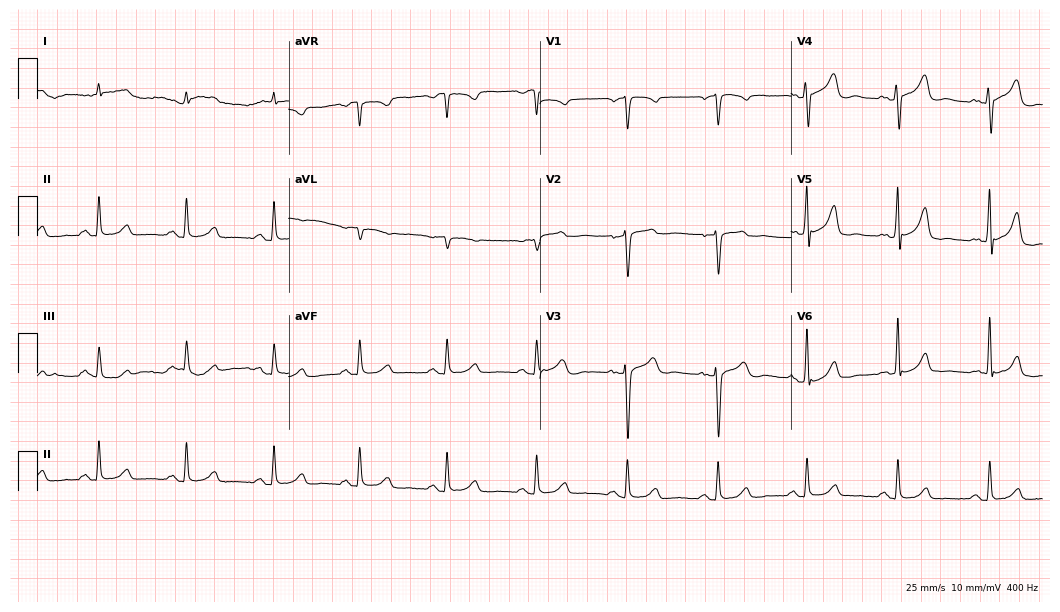
12-lead ECG (10.2-second recording at 400 Hz) from a 62-year-old male. Labelled as a normal ECG.